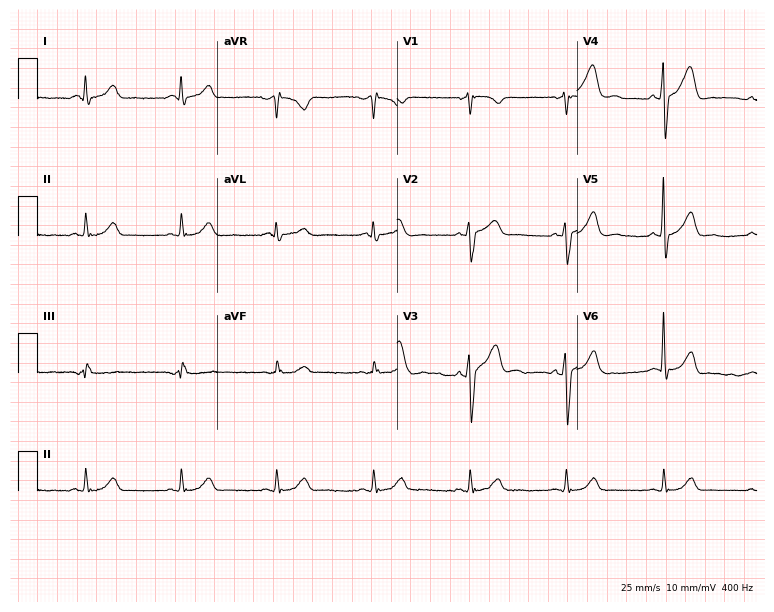
12-lead ECG (7.3-second recording at 400 Hz) from a 42-year-old male patient. Screened for six findings — first-degree AV block, right bundle branch block, left bundle branch block, sinus bradycardia, atrial fibrillation, sinus tachycardia — none is recorded. Only these six findings were labelled.